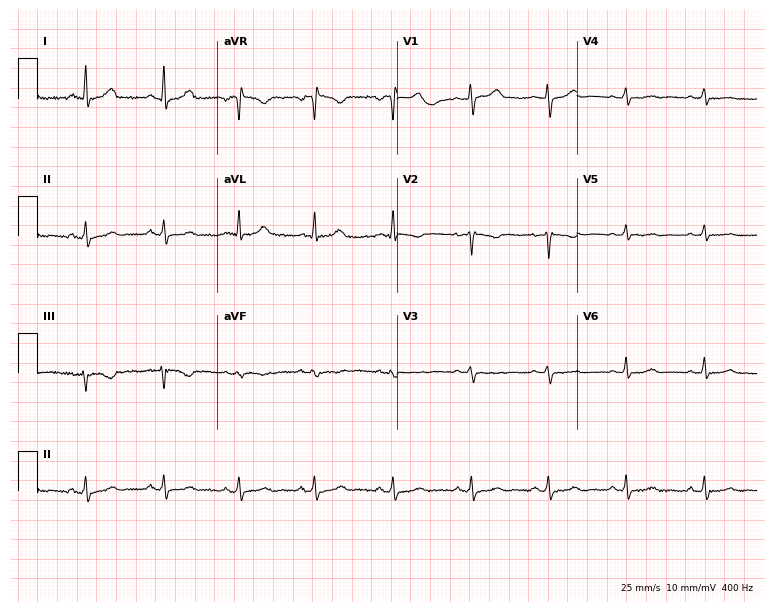
ECG — a female, 39 years old. Screened for six findings — first-degree AV block, right bundle branch block (RBBB), left bundle branch block (LBBB), sinus bradycardia, atrial fibrillation (AF), sinus tachycardia — none is recorded. Only these six findings were labelled.